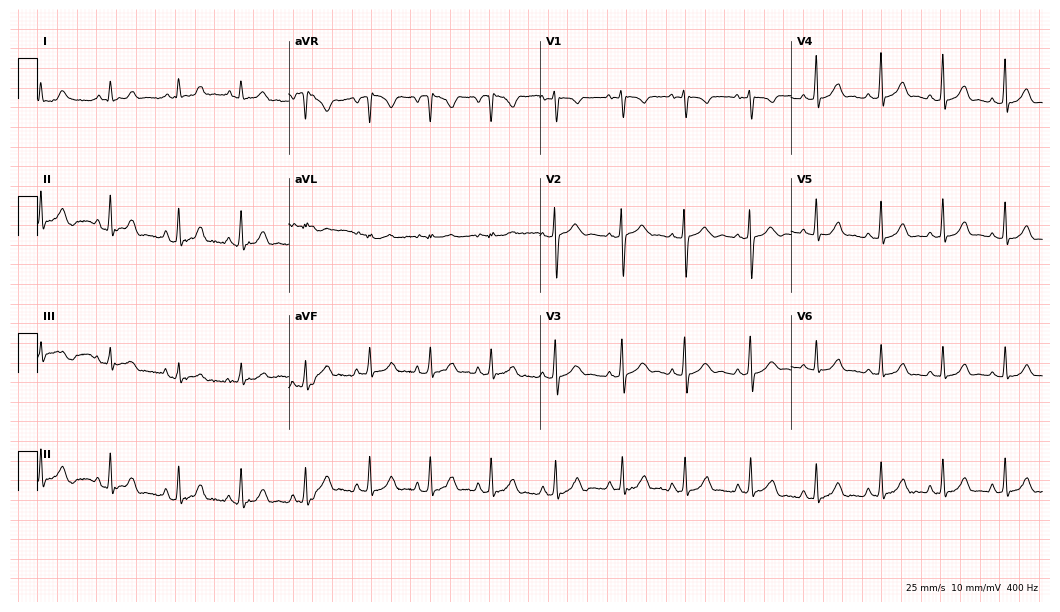
Electrocardiogram (10.2-second recording at 400 Hz), an 18-year-old female. Overall reading on record: normal ECG.